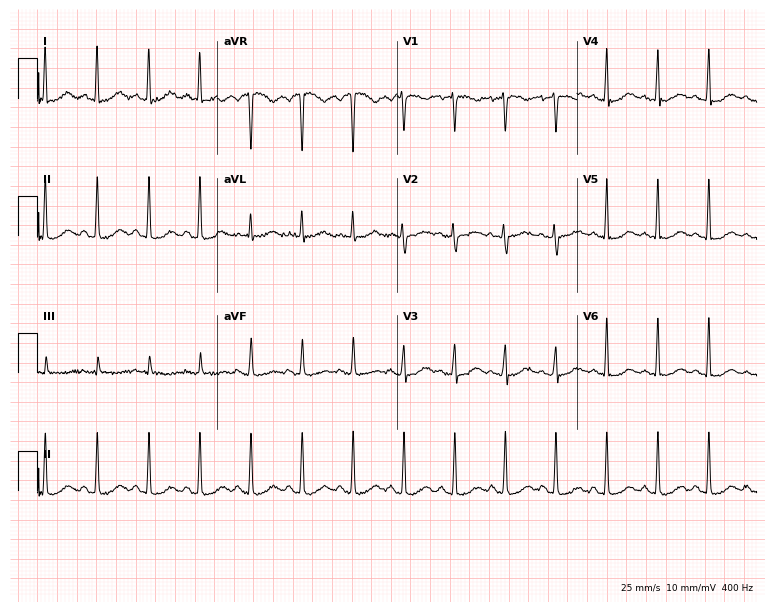
12-lead ECG (7.3-second recording at 400 Hz) from a 42-year-old woman. Findings include sinus tachycardia (a sinus rate of 100 beats per minute or more).